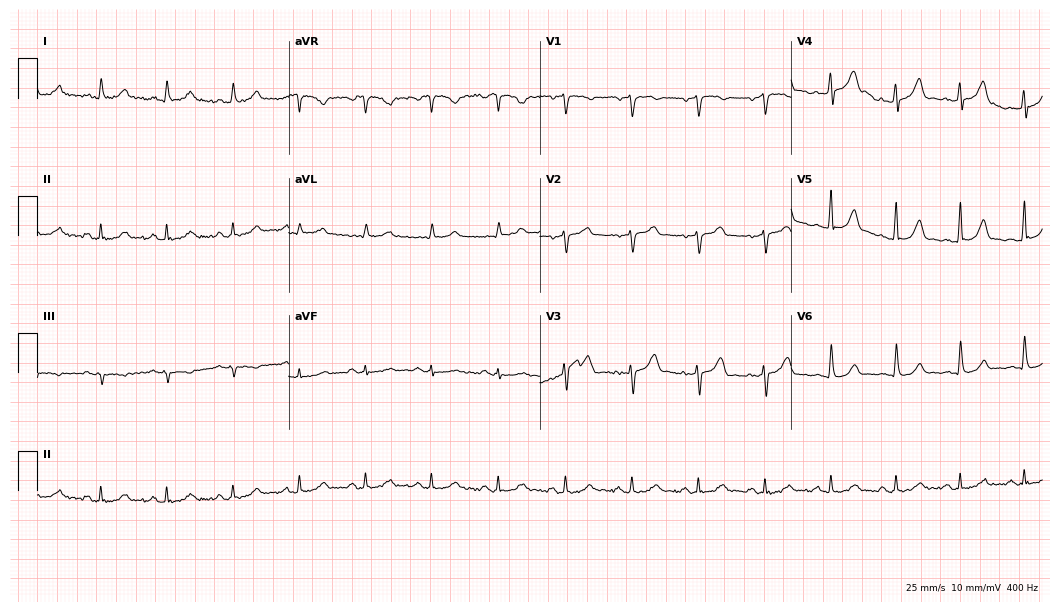
12-lead ECG from a male, 66 years old (10.2-second recording at 400 Hz). Recorded interpretation: within normal limits.